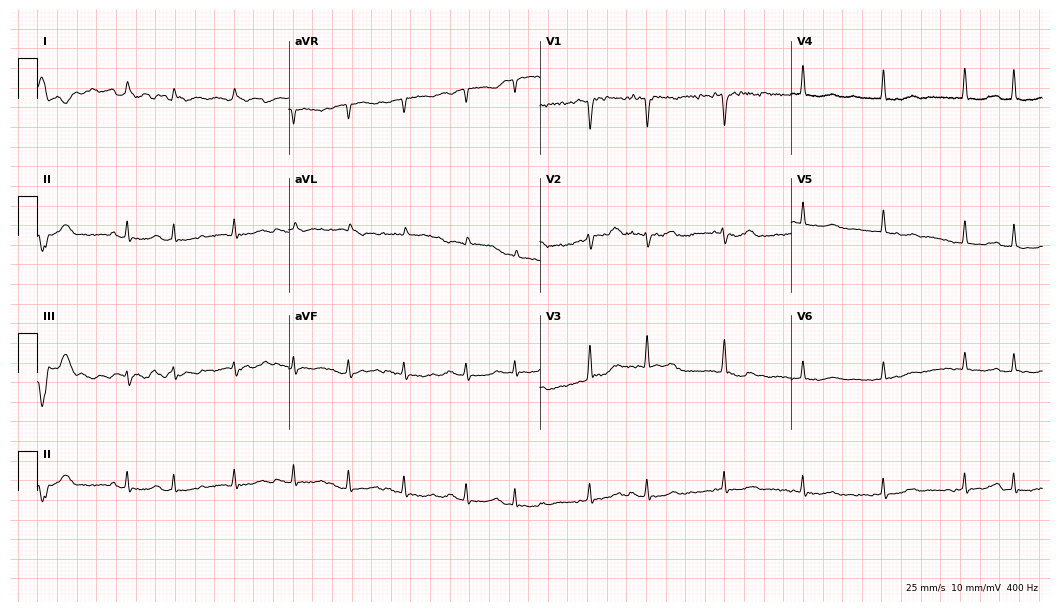
12-lead ECG from a male, 85 years old (10.2-second recording at 400 Hz). Shows atrial fibrillation.